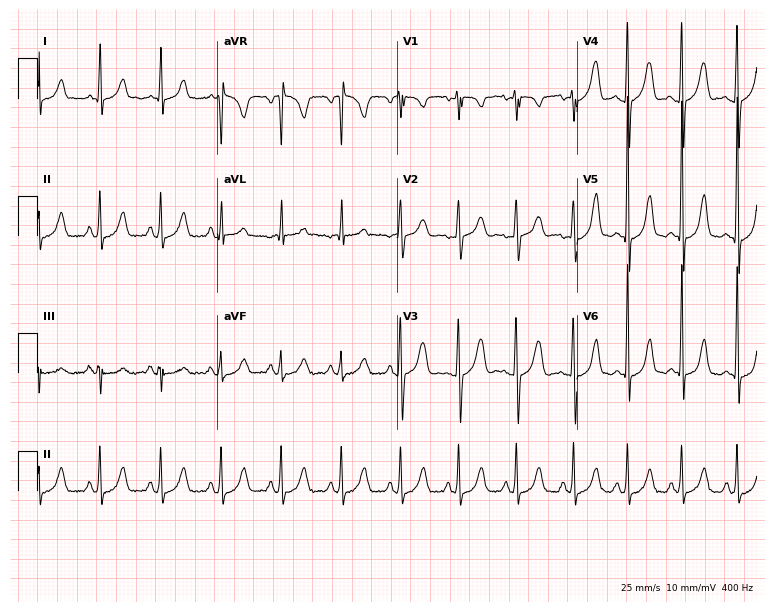
Resting 12-lead electrocardiogram. Patient: a 17-year-old female. The tracing shows sinus tachycardia (a sinus rate of 100 beats per minute or more).